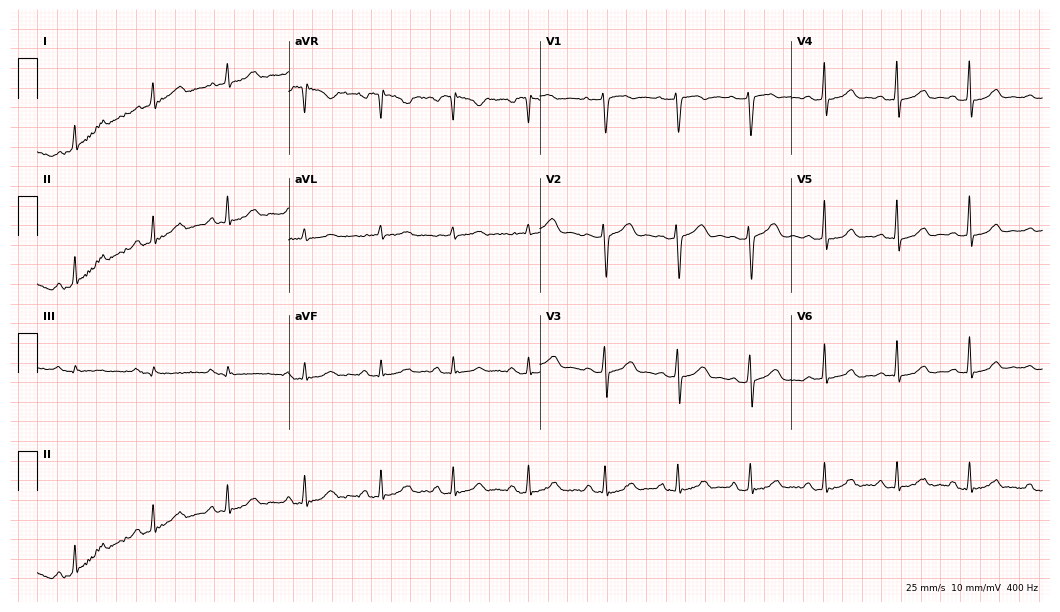
12-lead ECG from a female, 33 years old (10.2-second recording at 400 Hz). Recorded interpretation: within normal limits.